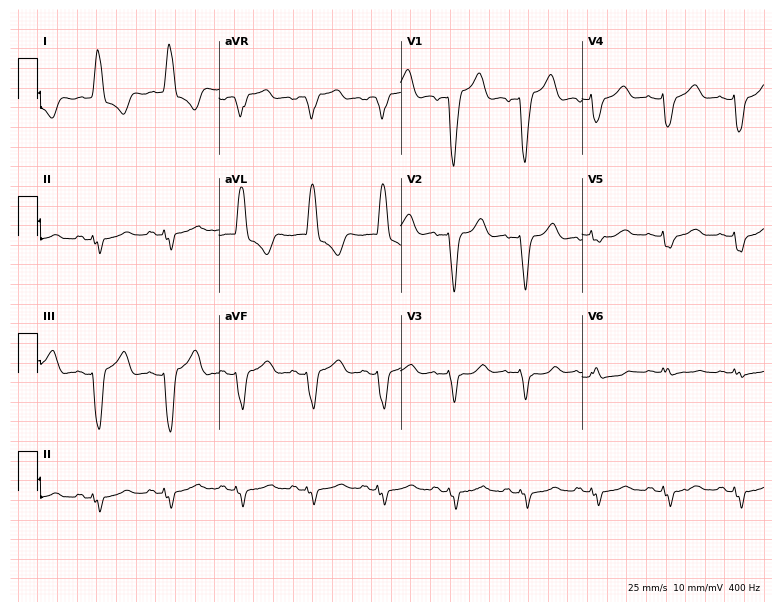
12-lead ECG from a woman, 78 years old. No first-degree AV block, right bundle branch block, left bundle branch block, sinus bradycardia, atrial fibrillation or sinus tachycardia recorded for this tracing. Other findings, if any, are not listed.